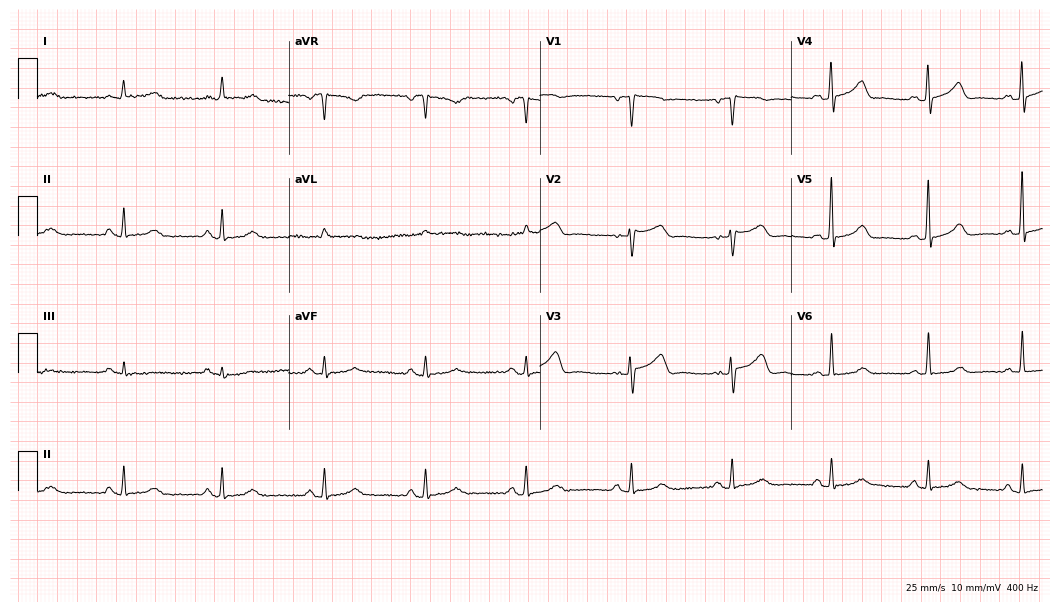
Resting 12-lead electrocardiogram. Patient: a woman, 50 years old. None of these six findings is recorded: first-degree AV block, right bundle branch block, left bundle branch block, sinus bradycardia, atrial fibrillation, sinus tachycardia.